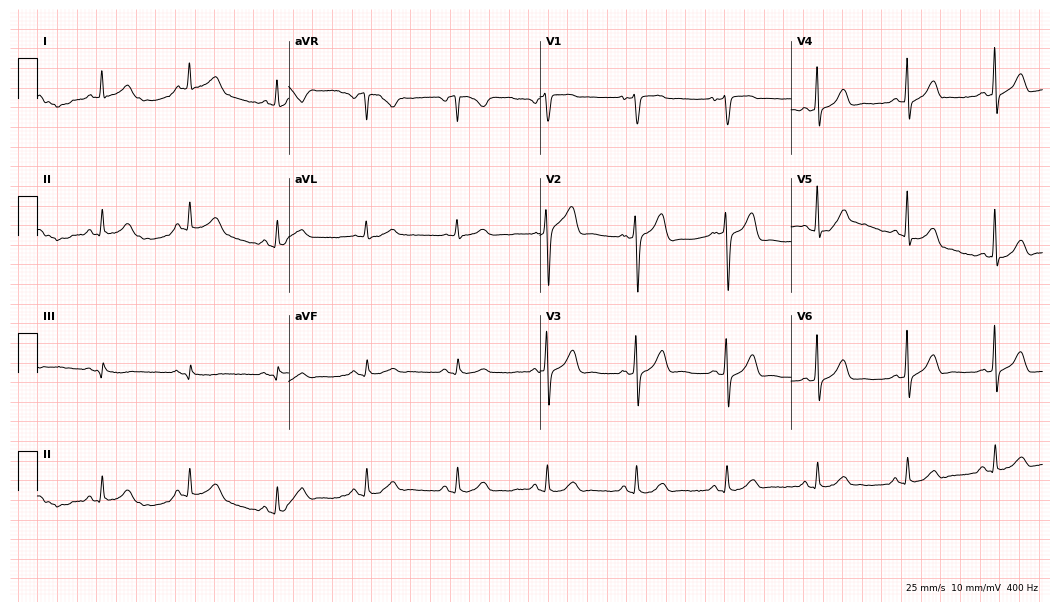
12-lead ECG from a 48-year-old man. Screened for six findings — first-degree AV block, right bundle branch block, left bundle branch block, sinus bradycardia, atrial fibrillation, sinus tachycardia — none is recorded.